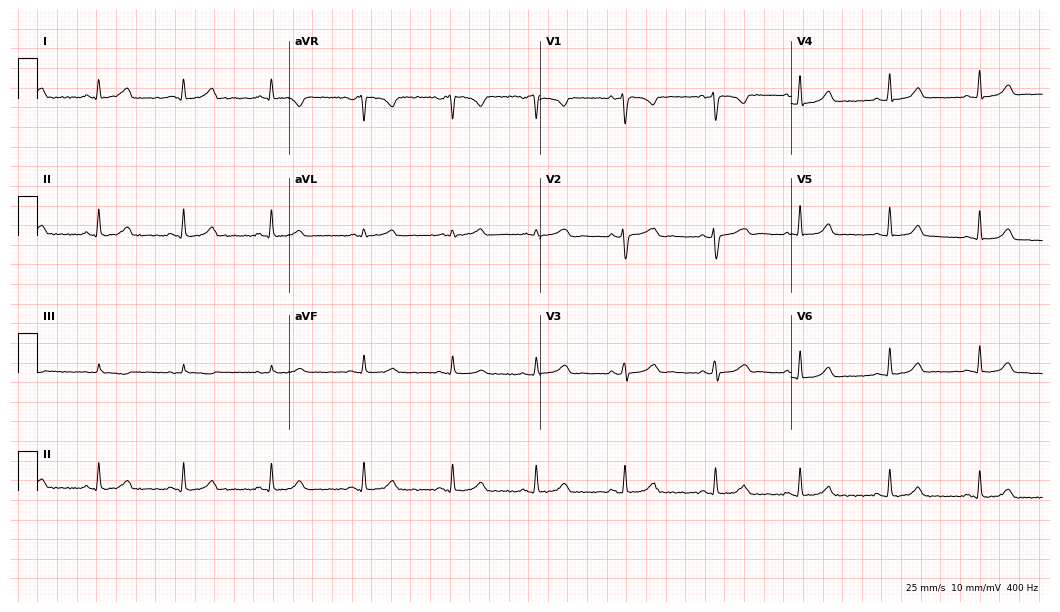
12-lead ECG from a 30-year-old woman. Labelled as a normal ECG.